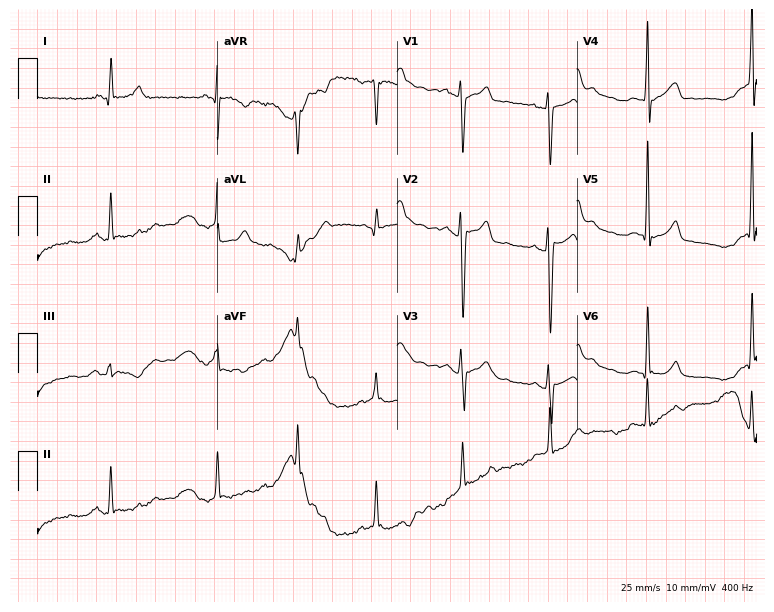
Standard 12-lead ECG recorded from a male, 17 years old. None of these six findings is recorded: first-degree AV block, right bundle branch block (RBBB), left bundle branch block (LBBB), sinus bradycardia, atrial fibrillation (AF), sinus tachycardia. Findings outside these six are not listed.